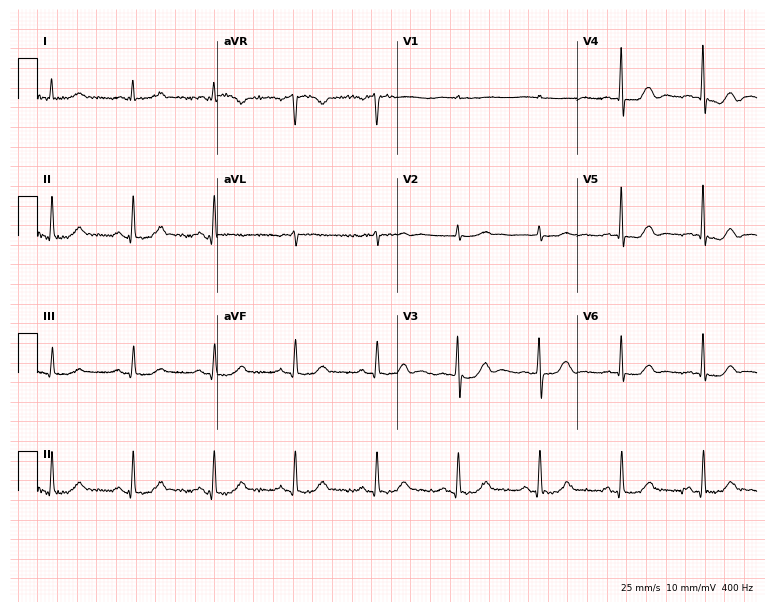
Resting 12-lead electrocardiogram. Patient: an 82-year-old man. None of these six findings is recorded: first-degree AV block, right bundle branch block, left bundle branch block, sinus bradycardia, atrial fibrillation, sinus tachycardia.